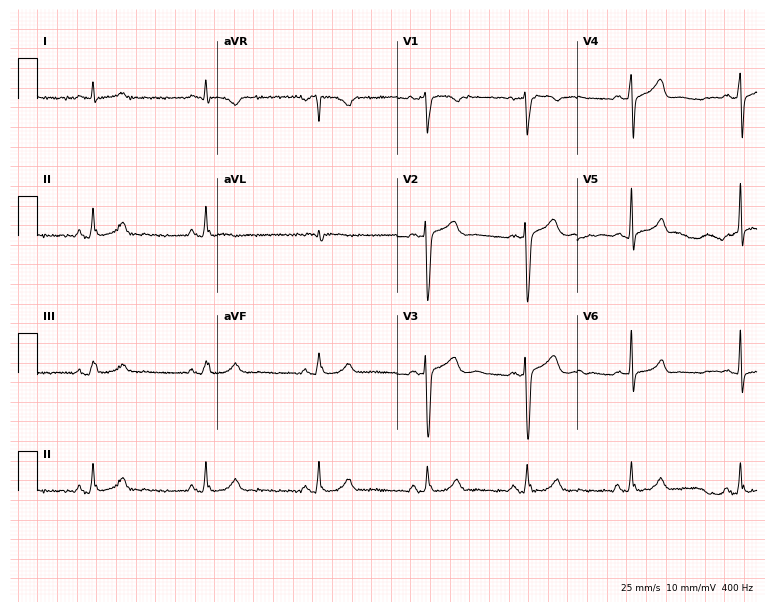
Resting 12-lead electrocardiogram (7.3-second recording at 400 Hz). Patient: a woman, 38 years old. None of these six findings is recorded: first-degree AV block, right bundle branch block, left bundle branch block, sinus bradycardia, atrial fibrillation, sinus tachycardia. Only these six findings were labelled.